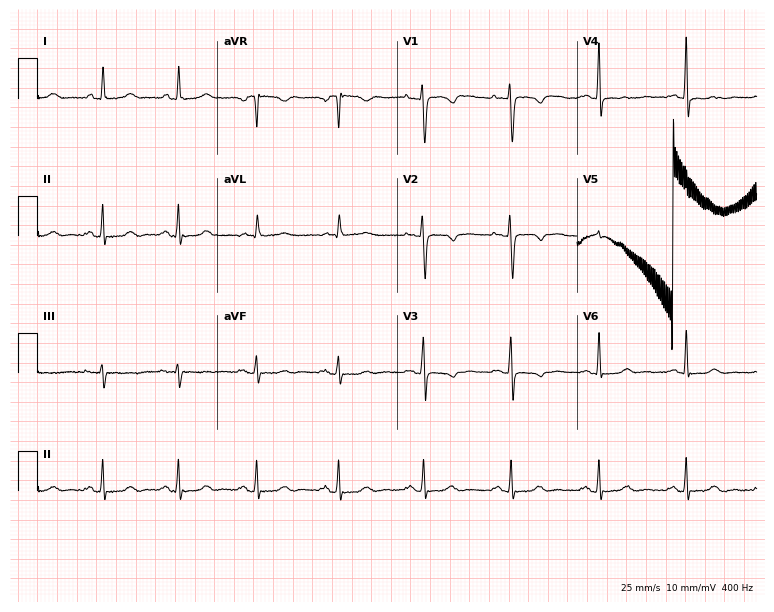
Standard 12-lead ECG recorded from a 51-year-old woman (7.3-second recording at 400 Hz). None of these six findings is recorded: first-degree AV block, right bundle branch block, left bundle branch block, sinus bradycardia, atrial fibrillation, sinus tachycardia.